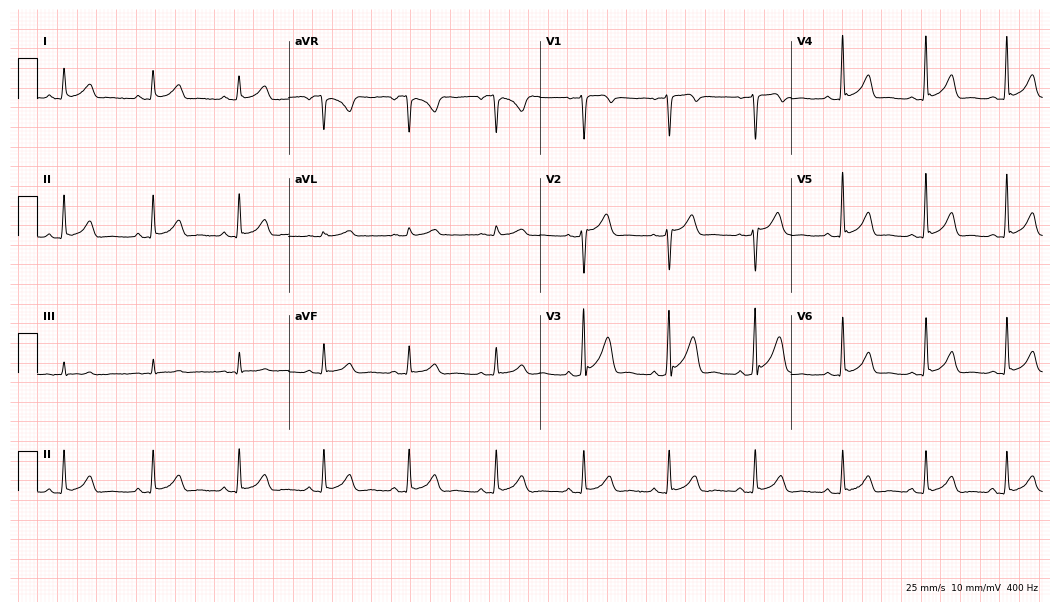
12-lead ECG from a 38-year-old male patient (10.2-second recording at 400 Hz). No first-degree AV block, right bundle branch block (RBBB), left bundle branch block (LBBB), sinus bradycardia, atrial fibrillation (AF) or sinus tachycardia recorded for this tracing.